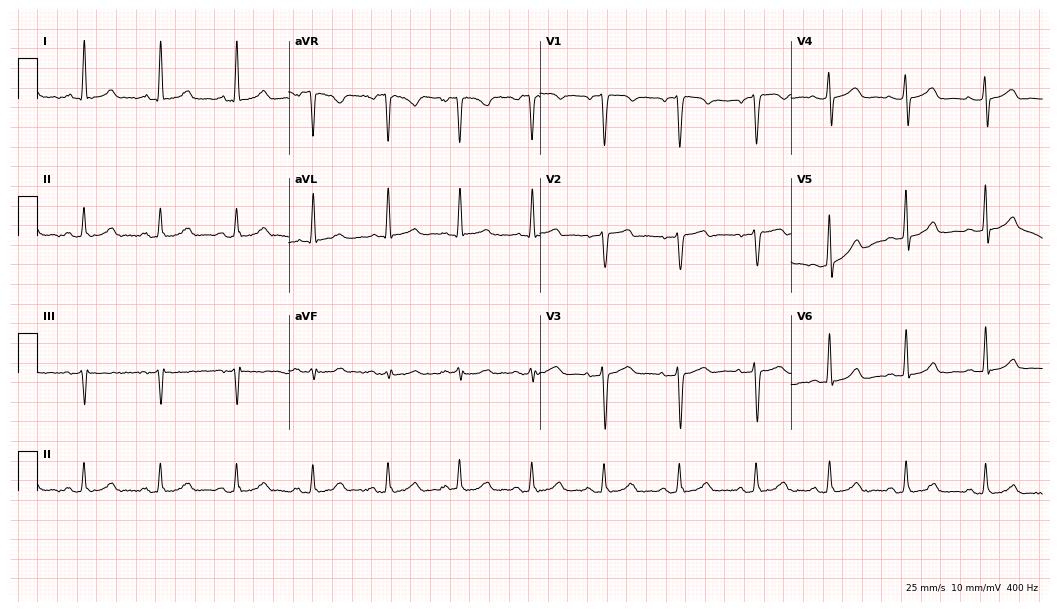
12-lead ECG from a 42-year-old female patient (10.2-second recording at 400 Hz). No first-degree AV block, right bundle branch block (RBBB), left bundle branch block (LBBB), sinus bradycardia, atrial fibrillation (AF) or sinus tachycardia recorded for this tracing.